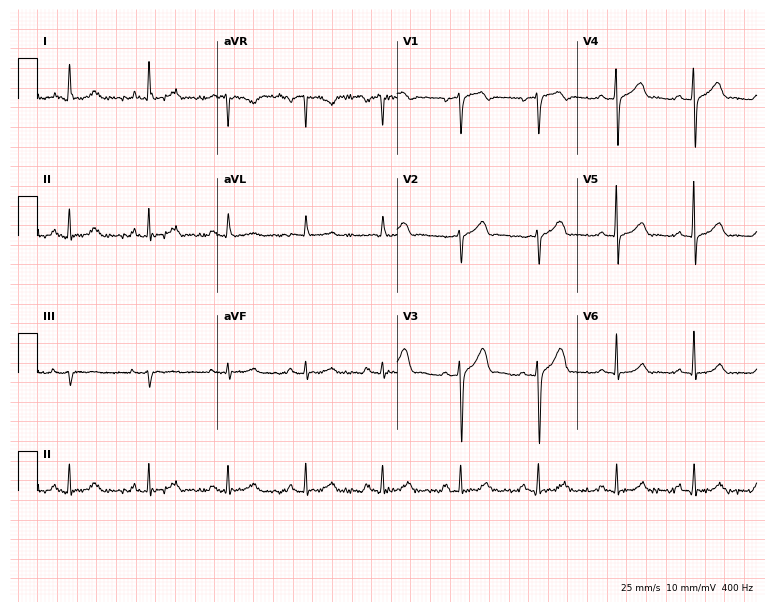
12-lead ECG (7.3-second recording at 400 Hz) from a 61-year-old man. Screened for six findings — first-degree AV block, right bundle branch block, left bundle branch block, sinus bradycardia, atrial fibrillation, sinus tachycardia — none is recorded. Findings outside these six are not listed.